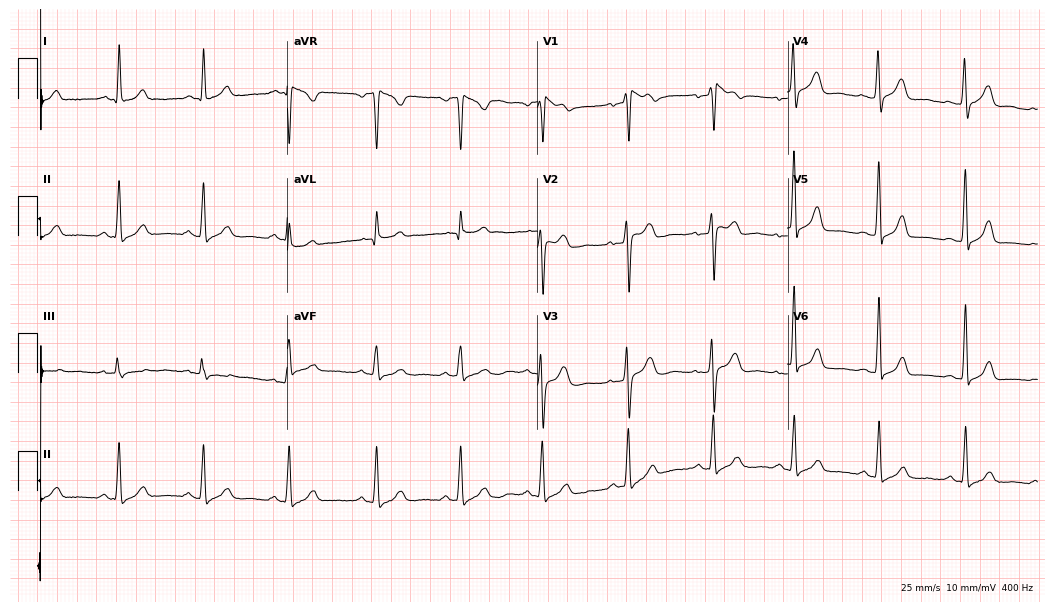
Standard 12-lead ECG recorded from a woman, 42 years old. None of these six findings is recorded: first-degree AV block, right bundle branch block (RBBB), left bundle branch block (LBBB), sinus bradycardia, atrial fibrillation (AF), sinus tachycardia.